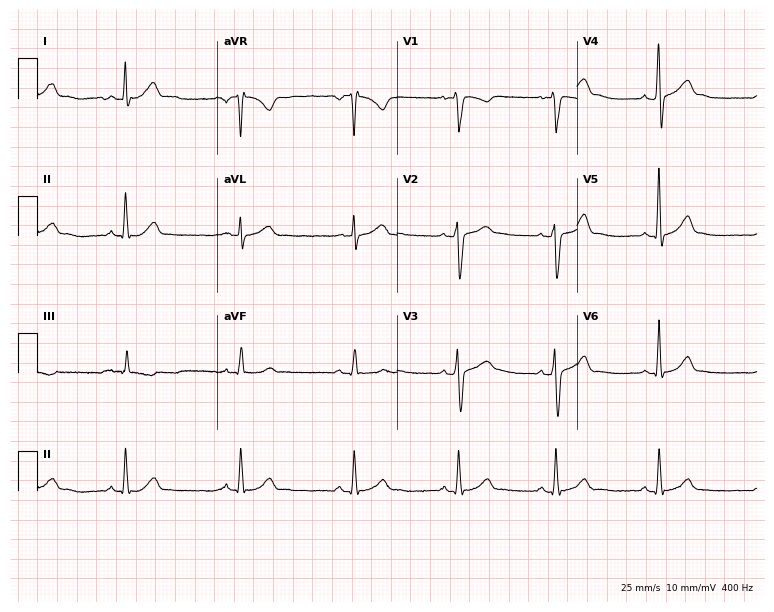
Electrocardiogram (7.3-second recording at 400 Hz), a male patient, 27 years old. Overall reading on record: normal ECG.